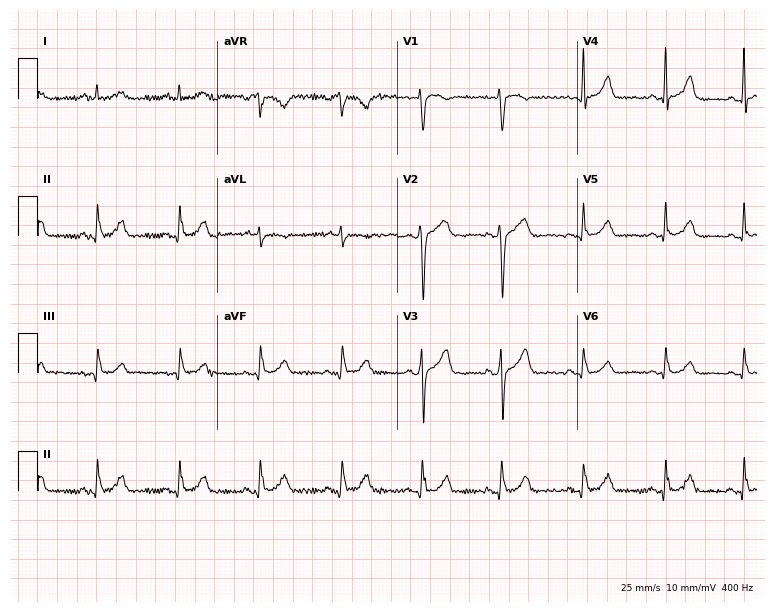
12-lead ECG from a female, 54 years old. Screened for six findings — first-degree AV block, right bundle branch block, left bundle branch block, sinus bradycardia, atrial fibrillation, sinus tachycardia — none is recorded.